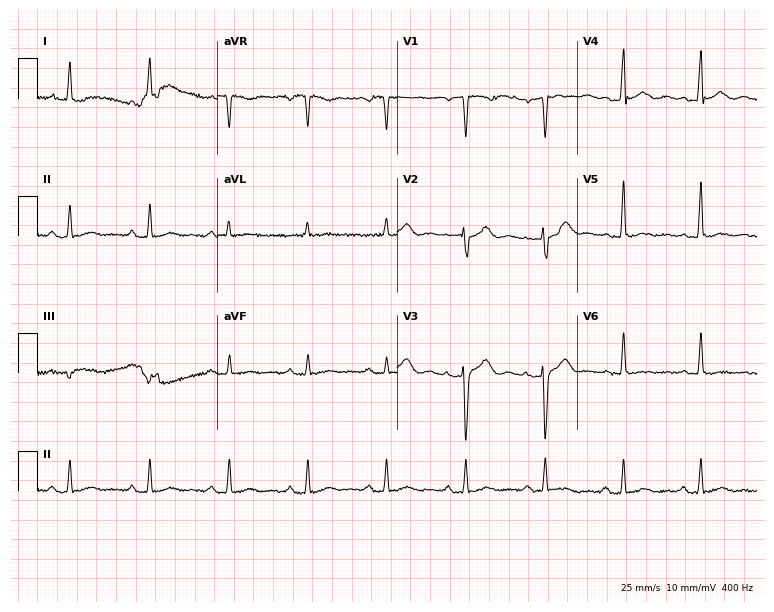
ECG (7.3-second recording at 400 Hz) — a 69-year-old male patient. Screened for six findings — first-degree AV block, right bundle branch block, left bundle branch block, sinus bradycardia, atrial fibrillation, sinus tachycardia — none is recorded.